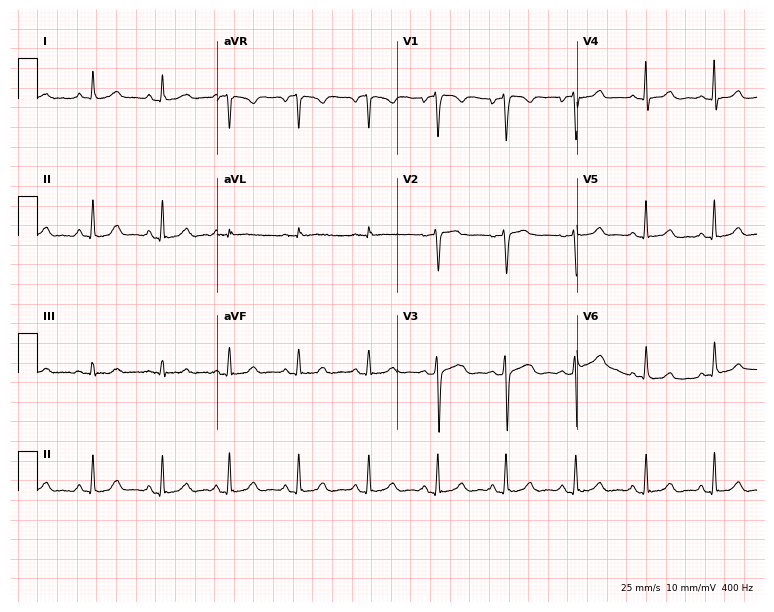
Electrocardiogram, a woman, 41 years old. Of the six screened findings (first-degree AV block, right bundle branch block, left bundle branch block, sinus bradycardia, atrial fibrillation, sinus tachycardia), none is recorded.